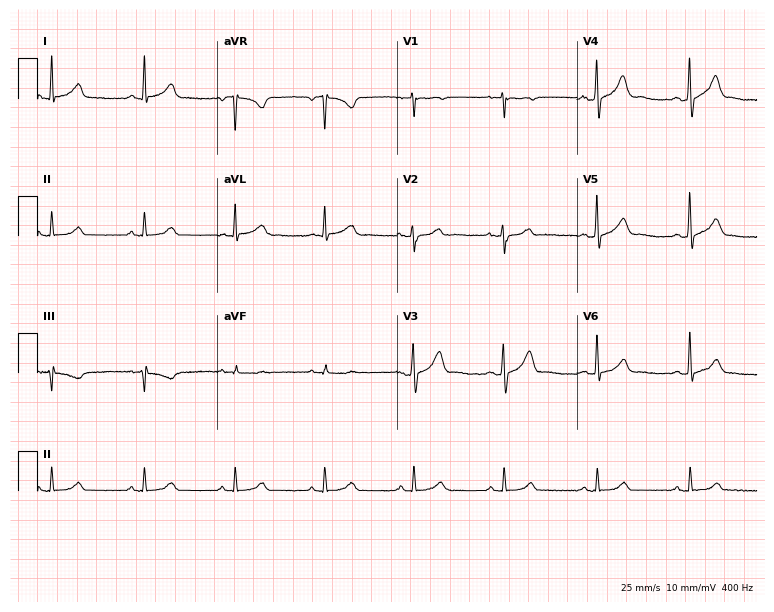
12-lead ECG from a man, 51 years old (7.3-second recording at 400 Hz). No first-degree AV block, right bundle branch block, left bundle branch block, sinus bradycardia, atrial fibrillation or sinus tachycardia recorded for this tracing.